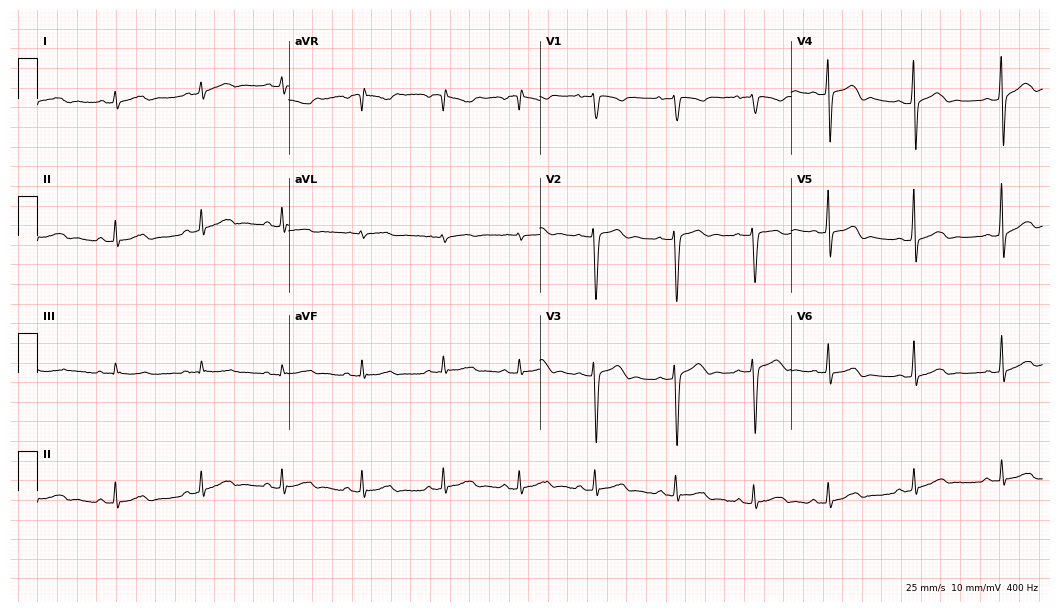
12-lead ECG from a man, 17 years old. Labelled as a normal ECG.